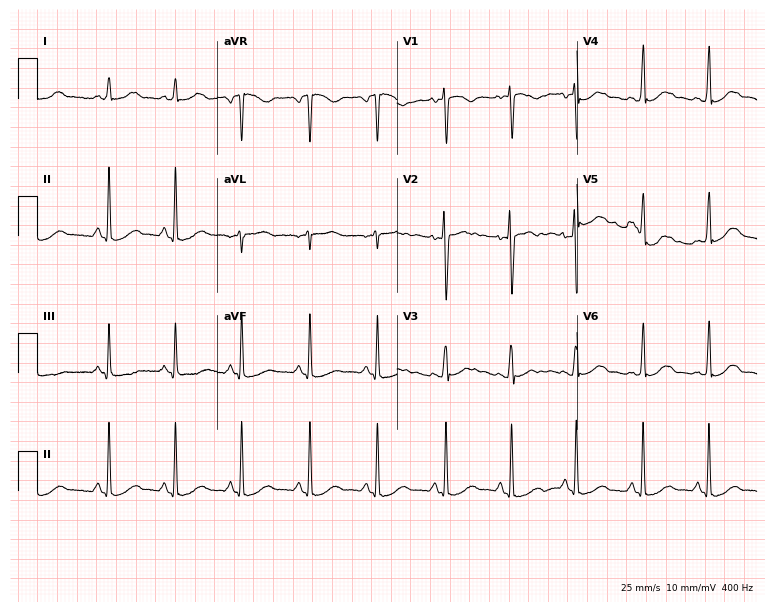
12-lead ECG from a woman, 17 years old (7.3-second recording at 400 Hz). No first-degree AV block, right bundle branch block, left bundle branch block, sinus bradycardia, atrial fibrillation or sinus tachycardia recorded for this tracing. Findings outside these six are not listed.